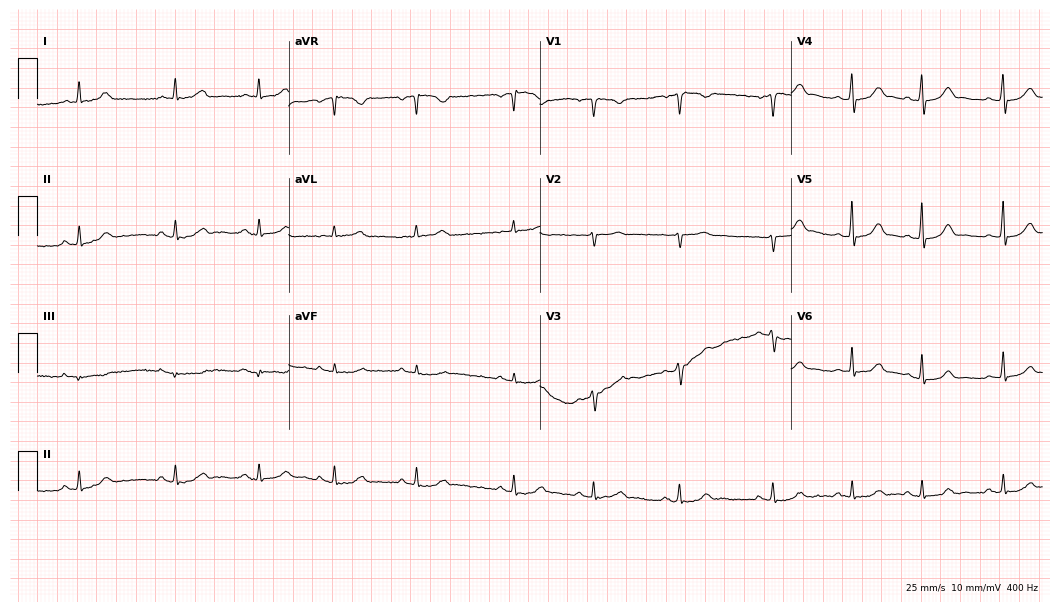
12-lead ECG from a female, 27 years old (10.2-second recording at 400 Hz). No first-degree AV block, right bundle branch block (RBBB), left bundle branch block (LBBB), sinus bradycardia, atrial fibrillation (AF) or sinus tachycardia recorded for this tracing.